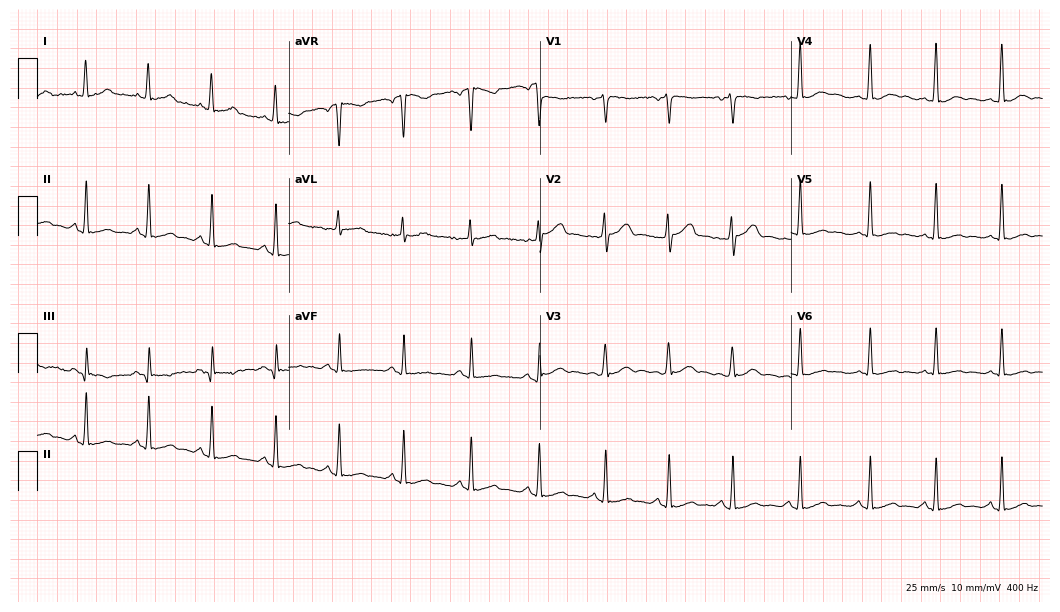
Standard 12-lead ECG recorded from a female patient, 18 years old. Read as a normal ECG.